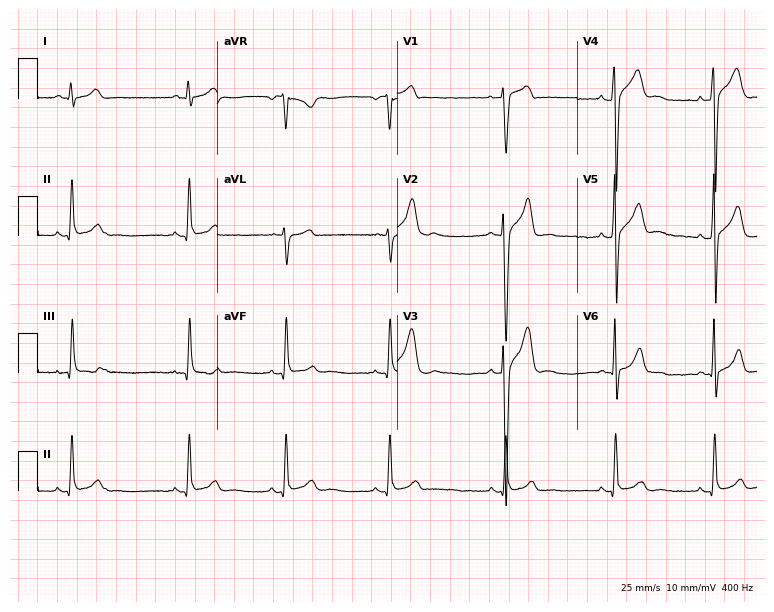
Standard 12-lead ECG recorded from a 24-year-old male patient (7.3-second recording at 400 Hz). None of these six findings is recorded: first-degree AV block, right bundle branch block, left bundle branch block, sinus bradycardia, atrial fibrillation, sinus tachycardia. Only these six findings were labelled.